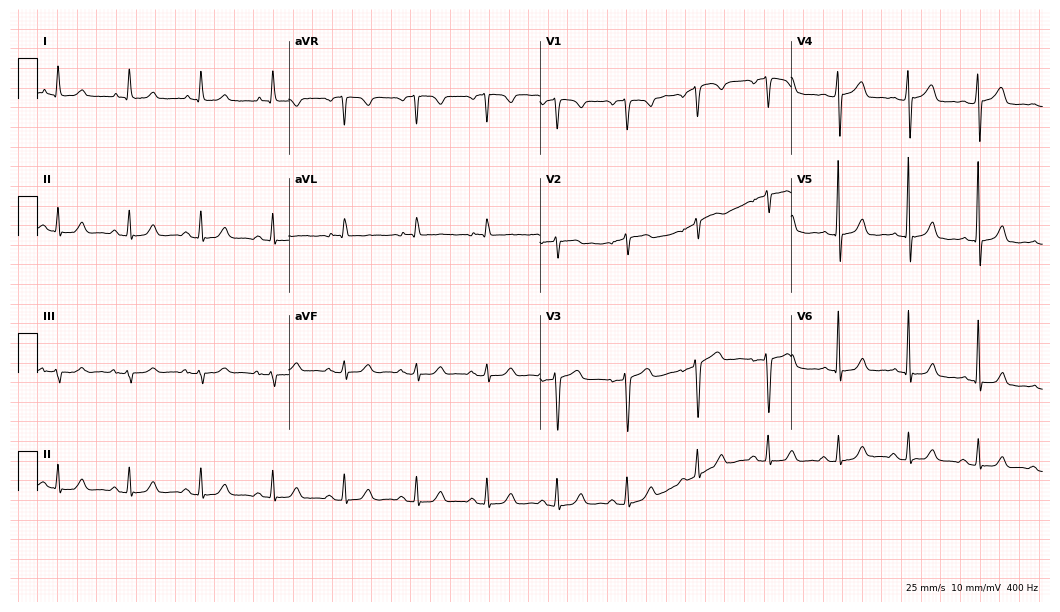
Standard 12-lead ECG recorded from a woman, 56 years old. Read as a normal ECG.